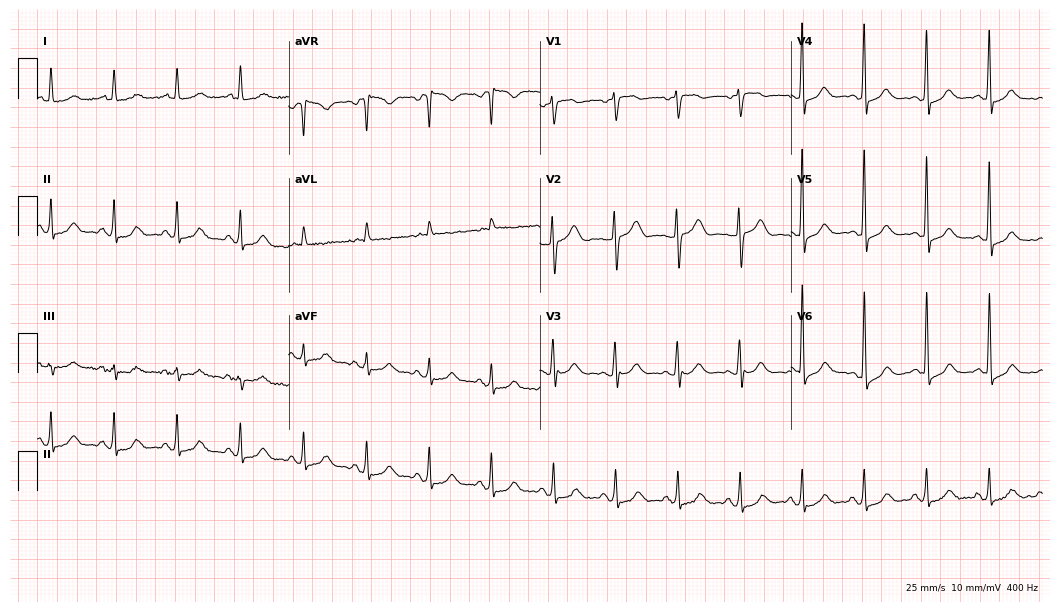
ECG — a 62-year-old female patient. Labelled as a normal ECG.